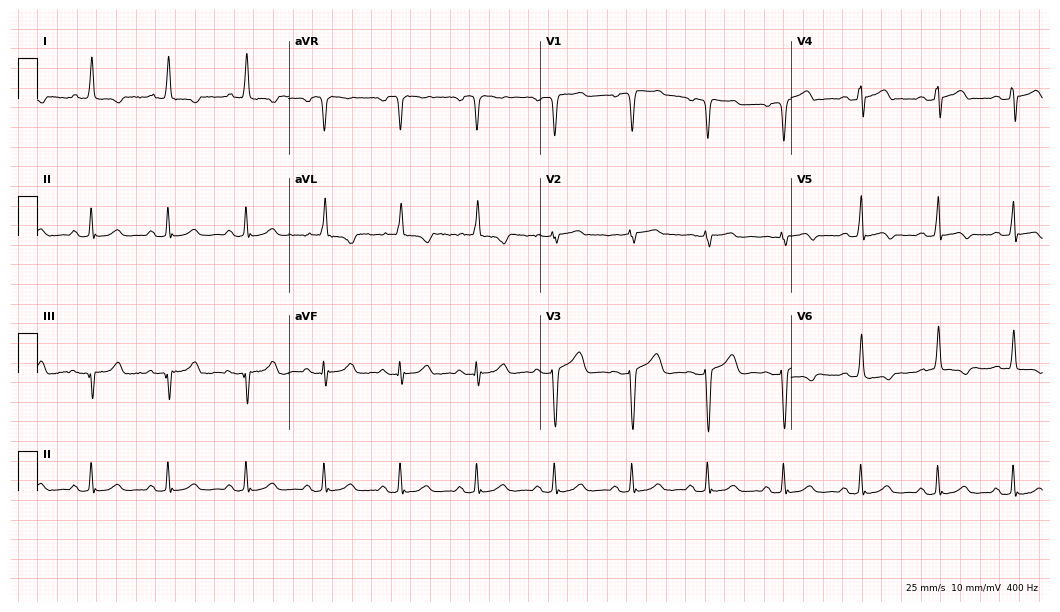
Electrocardiogram, a woman, 72 years old. Of the six screened findings (first-degree AV block, right bundle branch block, left bundle branch block, sinus bradycardia, atrial fibrillation, sinus tachycardia), none is recorded. Other findings, if any, are not listed.